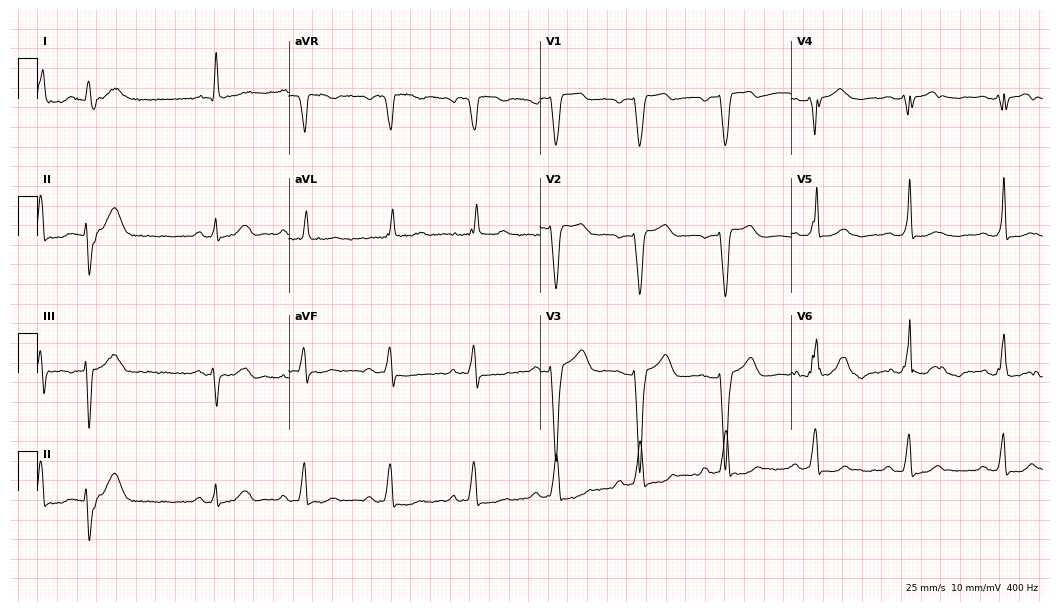
Resting 12-lead electrocardiogram. Patient: a 69-year-old female. None of these six findings is recorded: first-degree AV block, right bundle branch block, left bundle branch block, sinus bradycardia, atrial fibrillation, sinus tachycardia. Other findings, if any, are not listed.